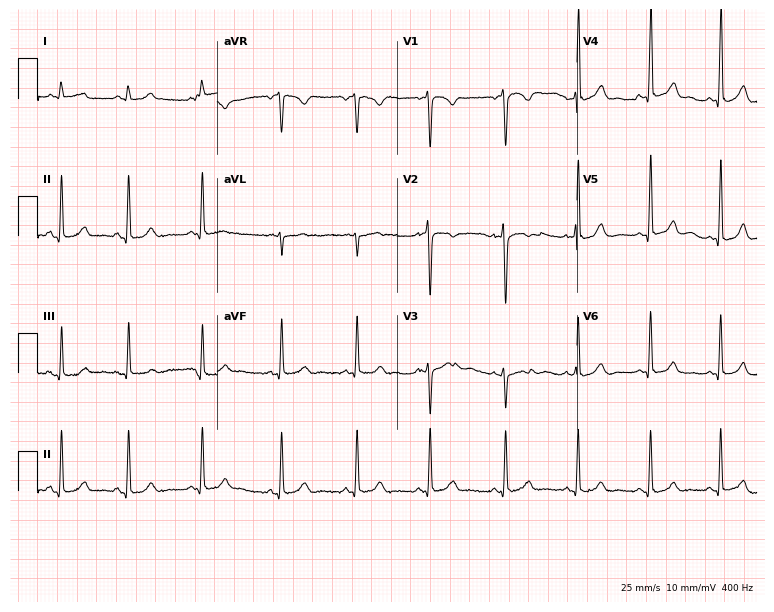
12-lead ECG from a female patient, 28 years old. Screened for six findings — first-degree AV block, right bundle branch block, left bundle branch block, sinus bradycardia, atrial fibrillation, sinus tachycardia — none is recorded.